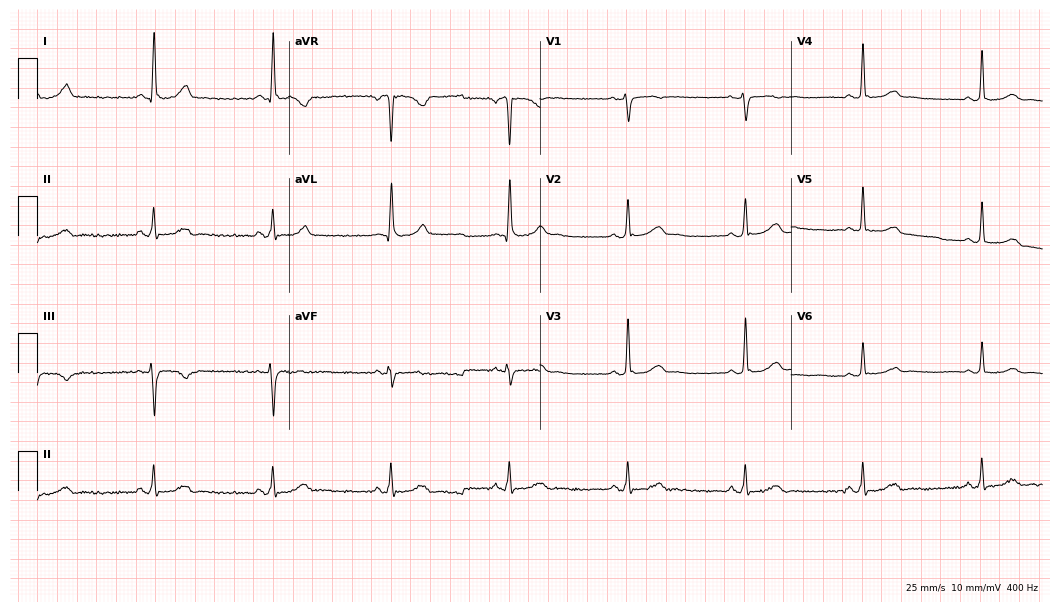
Resting 12-lead electrocardiogram (10.2-second recording at 400 Hz). Patient: a 54-year-old female. The tracing shows sinus bradycardia (a sinus rate of 50 beats per minute or less).